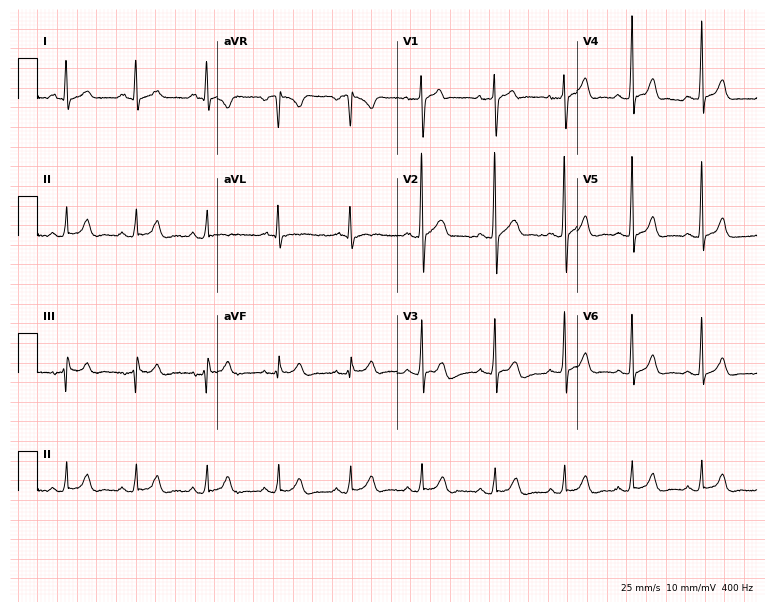
12-lead ECG from a 34-year-old male patient (7.3-second recording at 400 Hz). No first-degree AV block, right bundle branch block, left bundle branch block, sinus bradycardia, atrial fibrillation or sinus tachycardia recorded for this tracing.